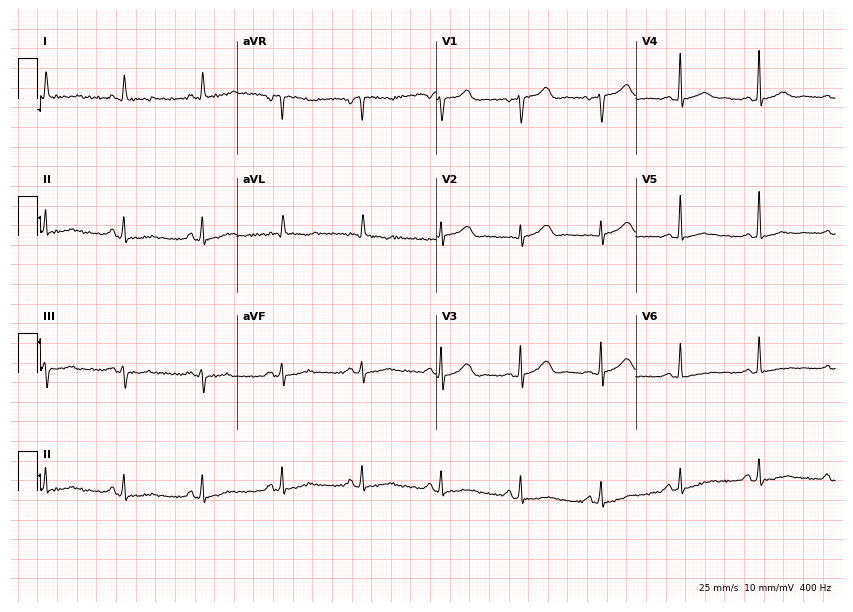
ECG — a female patient, 80 years old. Screened for six findings — first-degree AV block, right bundle branch block, left bundle branch block, sinus bradycardia, atrial fibrillation, sinus tachycardia — none is recorded.